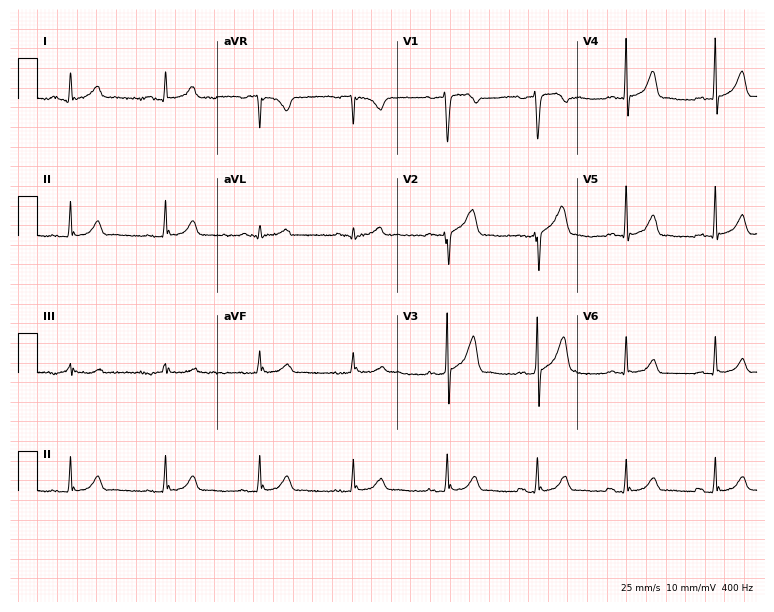
ECG — a male patient, 38 years old. Labelled as a normal ECG.